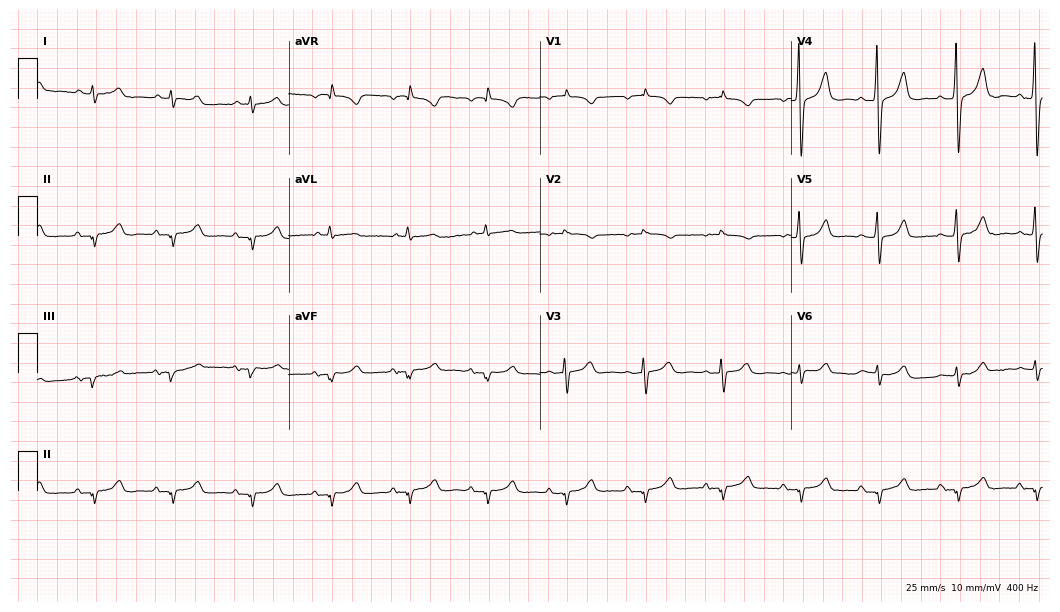
ECG — a 63-year-old male patient. Screened for six findings — first-degree AV block, right bundle branch block (RBBB), left bundle branch block (LBBB), sinus bradycardia, atrial fibrillation (AF), sinus tachycardia — none is recorded.